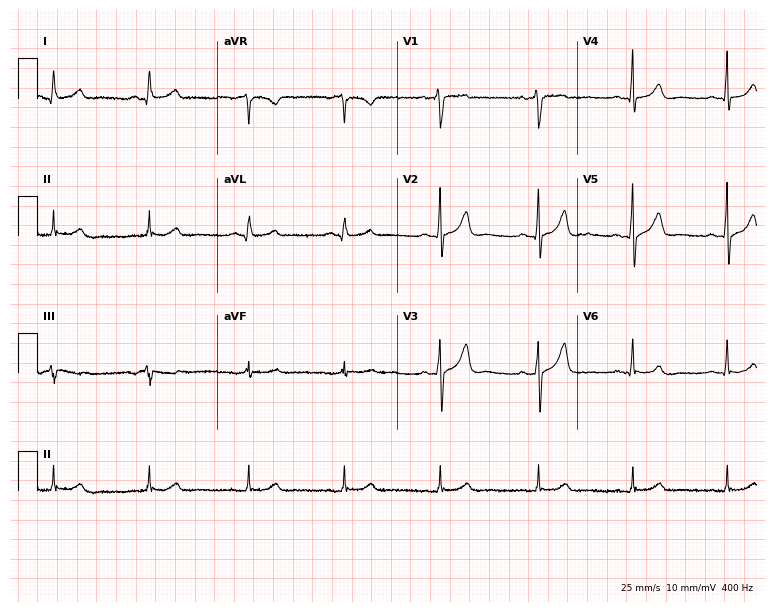
ECG (7.3-second recording at 400 Hz) — a man, 70 years old. Labelled as a normal ECG.